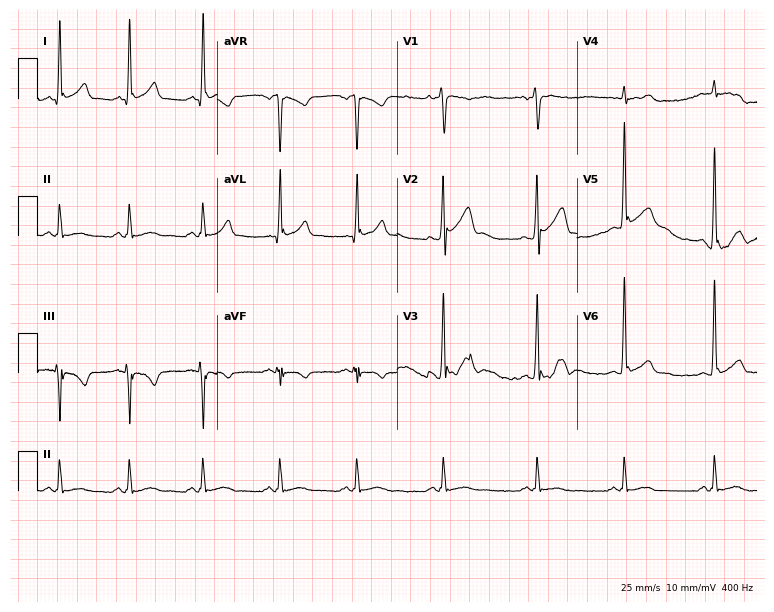
12-lead ECG (7.3-second recording at 400 Hz) from a 34-year-old male. Screened for six findings — first-degree AV block, right bundle branch block, left bundle branch block, sinus bradycardia, atrial fibrillation, sinus tachycardia — none is recorded. Other findings, if any, are not listed.